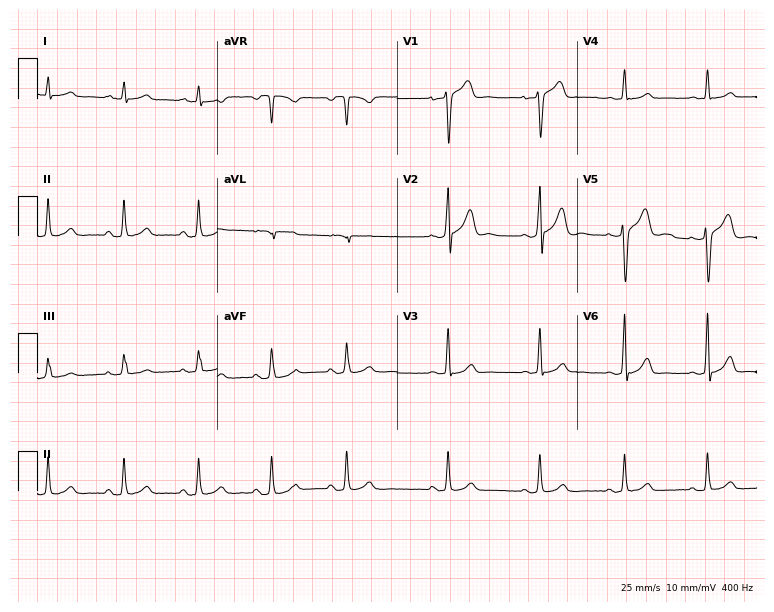
12-lead ECG (7.3-second recording at 400 Hz) from a male, 22 years old. Screened for six findings — first-degree AV block, right bundle branch block, left bundle branch block, sinus bradycardia, atrial fibrillation, sinus tachycardia — none is recorded. Findings outside these six are not listed.